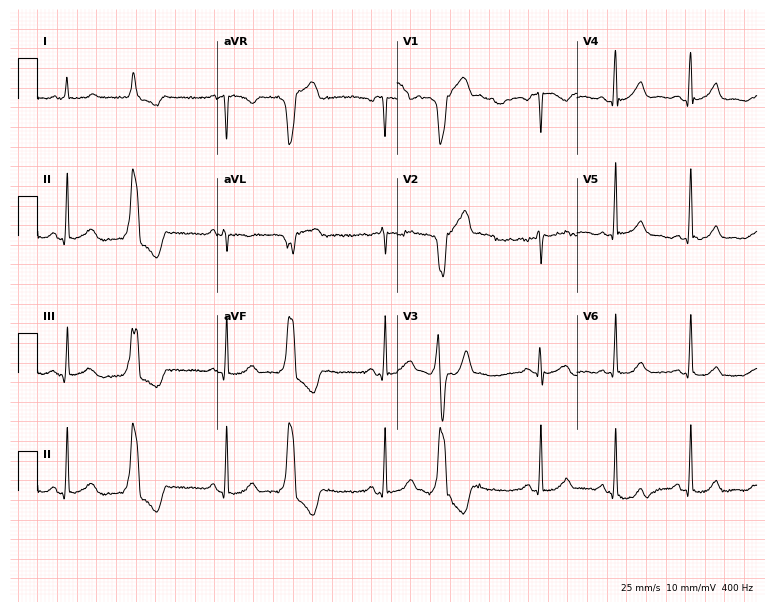
Resting 12-lead electrocardiogram. Patient: a 67-year-old female. Read as a normal ECG.